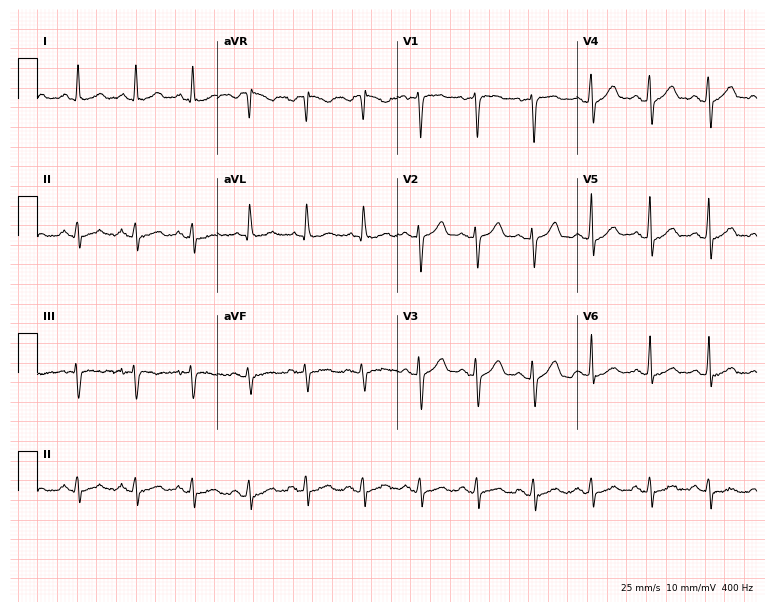
12-lead ECG from a man, 59 years old. Recorded interpretation: within normal limits.